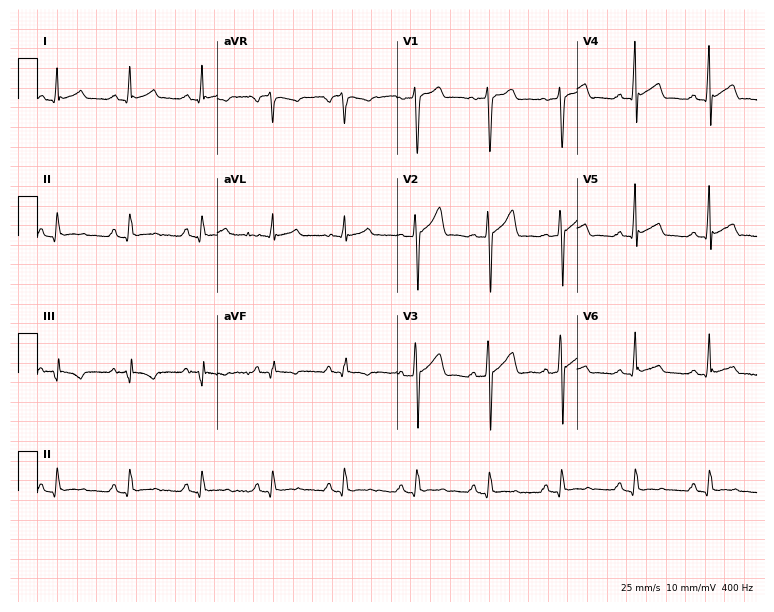
12-lead ECG (7.3-second recording at 400 Hz) from a 26-year-old male. Labelled as a normal ECG.